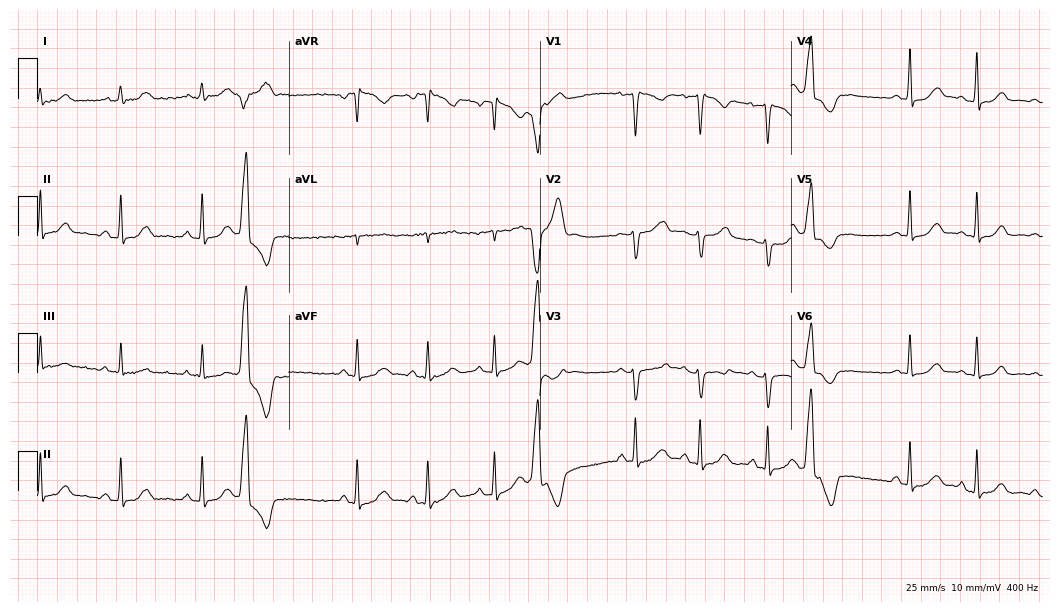
12-lead ECG from a 25-year-old woman. Screened for six findings — first-degree AV block, right bundle branch block, left bundle branch block, sinus bradycardia, atrial fibrillation, sinus tachycardia — none is recorded. Findings outside these six are not listed.